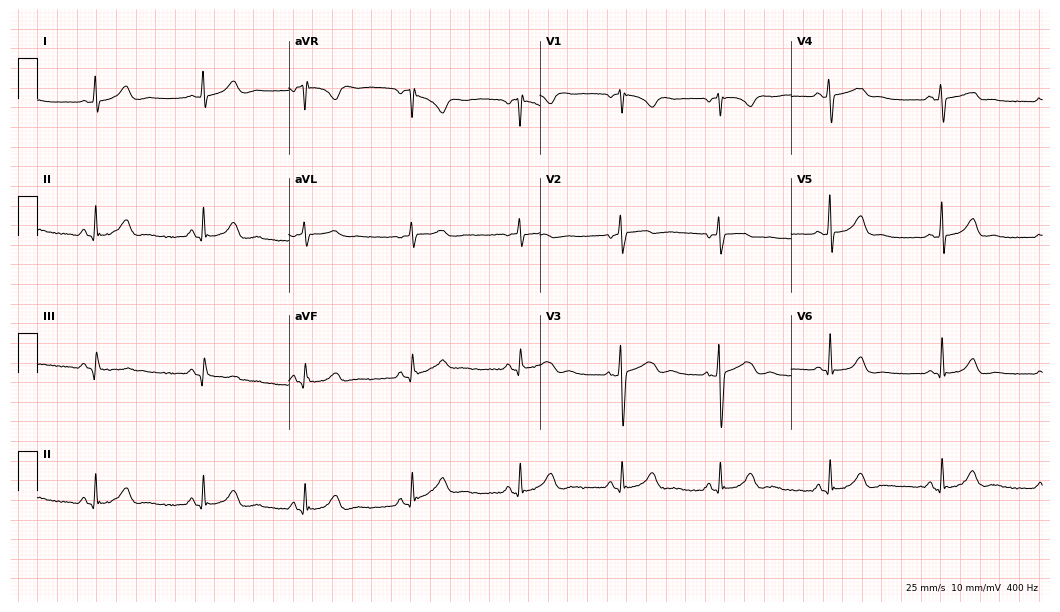
12-lead ECG from a 33-year-old female. Labelled as a normal ECG.